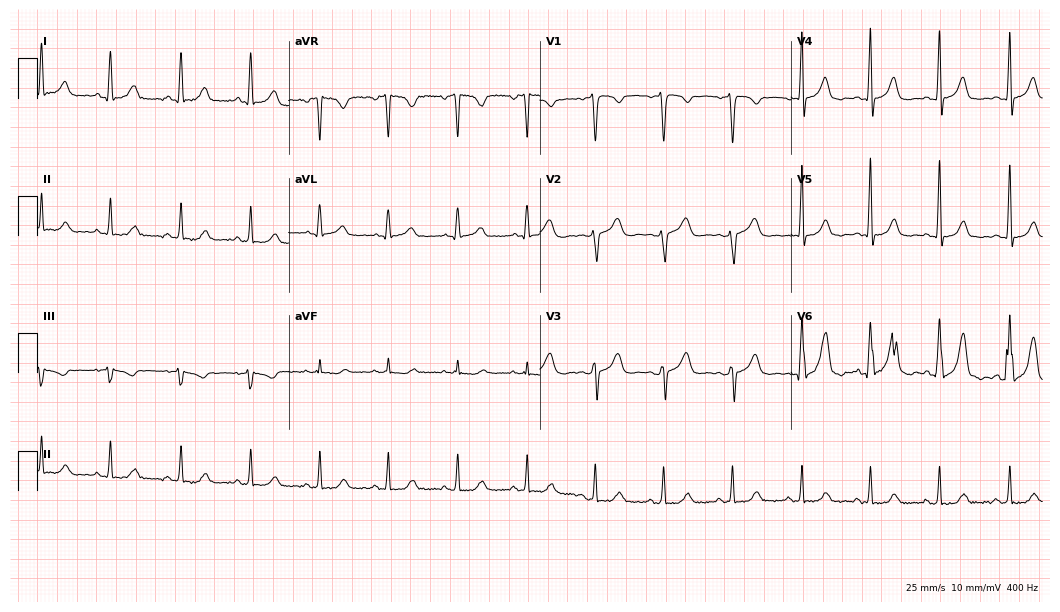
12-lead ECG from a 44-year-old female patient (10.2-second recording at 400 Hz). Recorded interpretation: within normal limits.